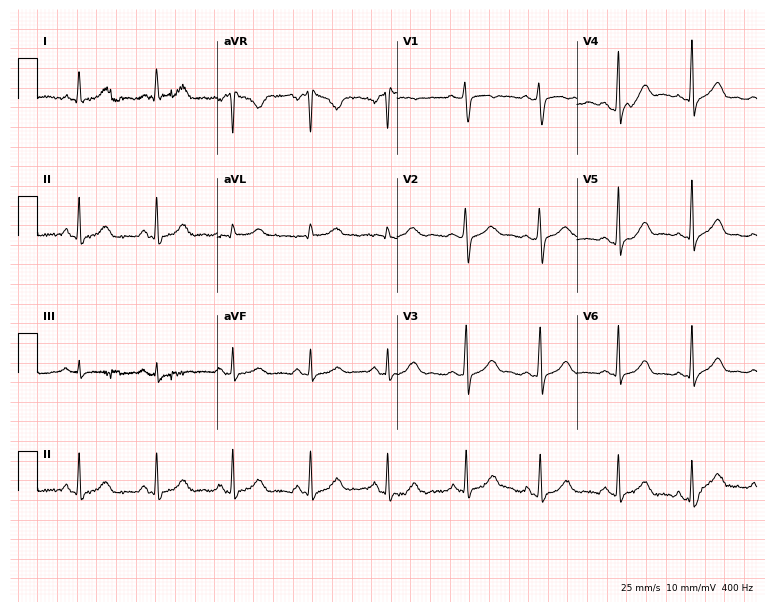
12-lead ECG (7.3-second recording at 400 Hz) from a 34-year-old female patient. Labelled as a normal ECG.